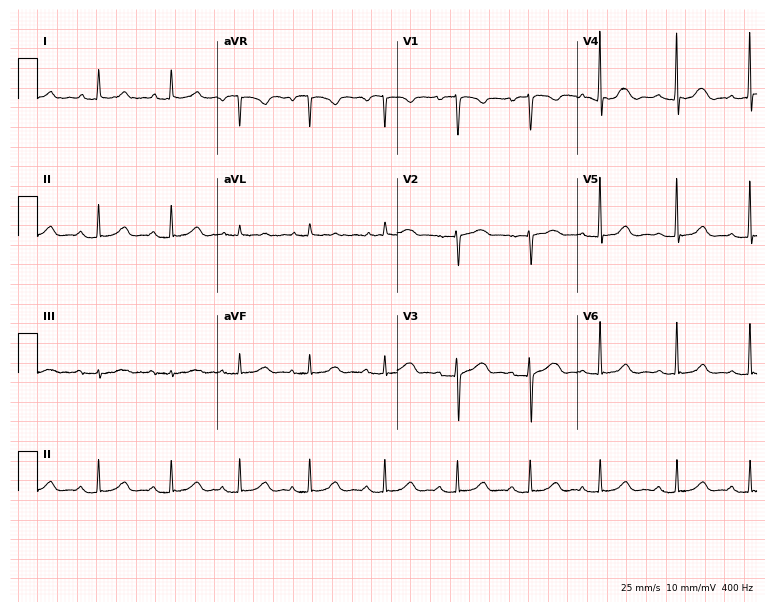
12-lead ECG (7.3-second recording at 400 Hz) from a 64-year-old female. Labelled as a normal ECG.